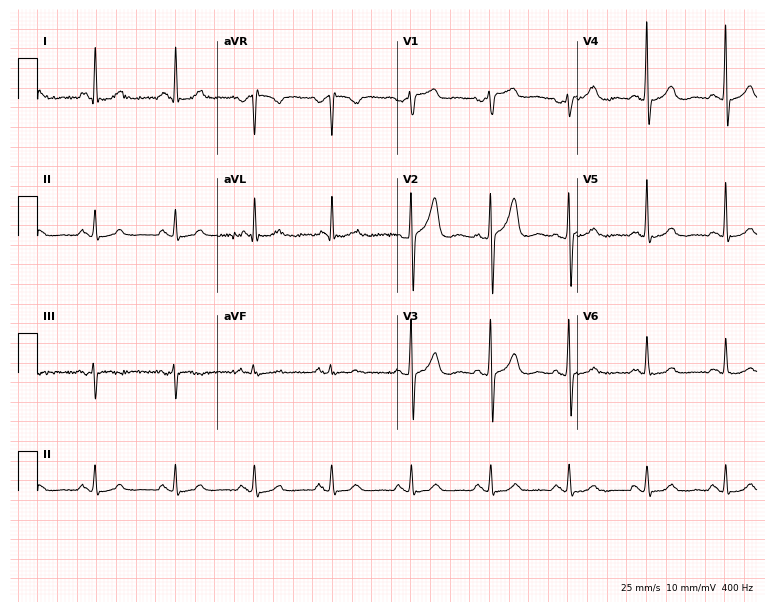
12-lead ECG (7.3-second recording at 400 Hz) from a 71-year-old female. Labelled as a normal ECG.